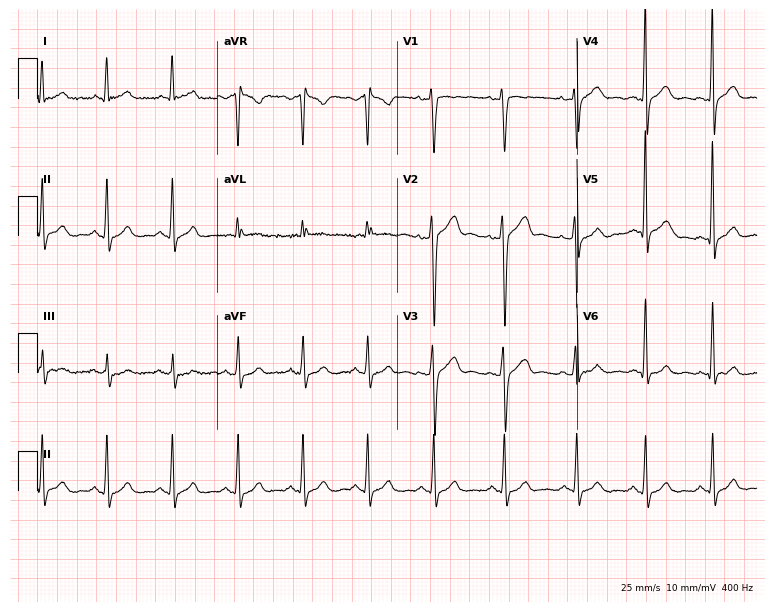
Resting 12-lead electrocardiogram. Patient: a man, 39 years old. None of these six findings is recorded: first-degree AV block, right bundle branch block (RBBB), left bundle branch block (LBBB), sinus bradycardia, atrial fibrillation (AF), sinus tachycardia. Findings outside these six are not listed.